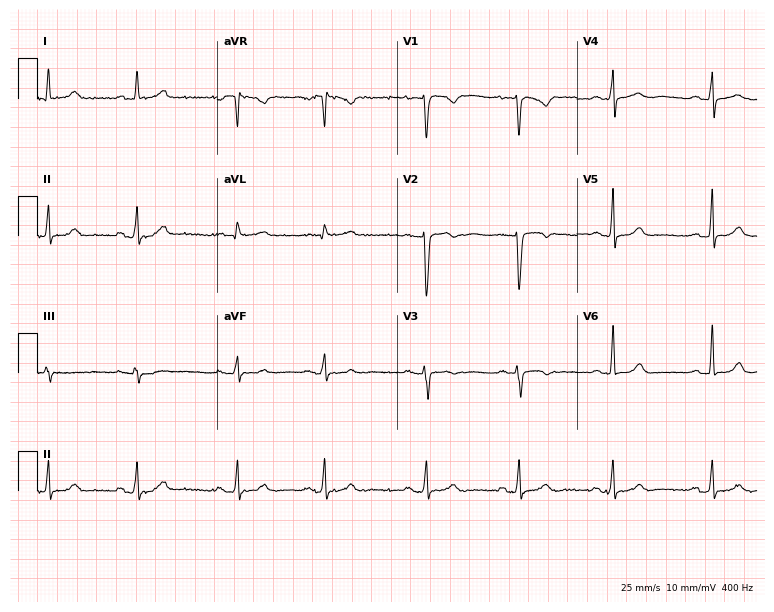
Standard 12-lead ECG recorded from a woman, 34 years old (7.3-second recording at 400 Hz). Read as a normal ECG.